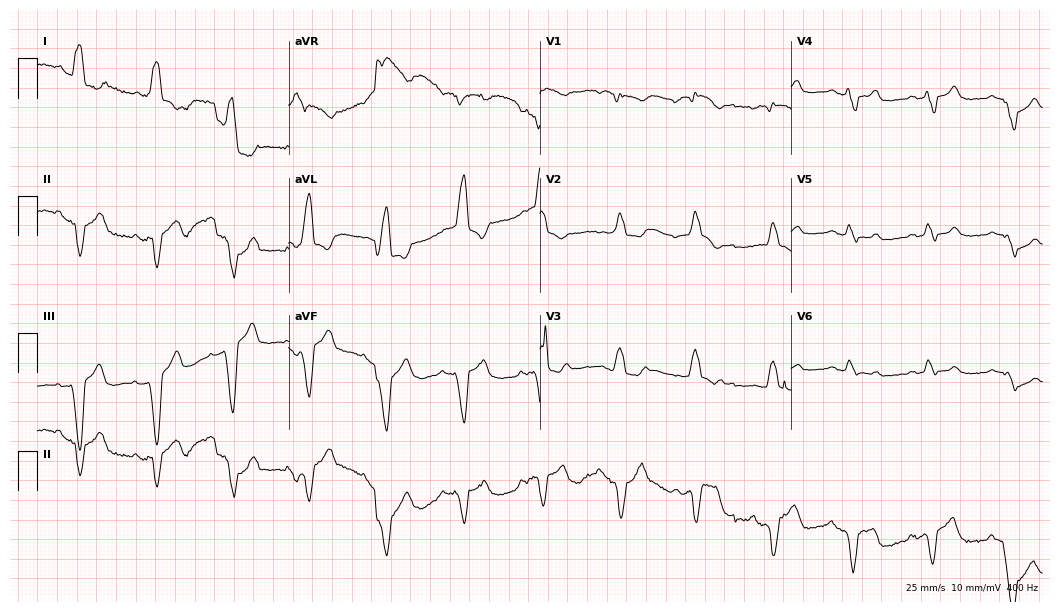
Resting 12-lead electrocardiogram. Patient: a female, 84 years old. The tracing shows right bundle branch block.